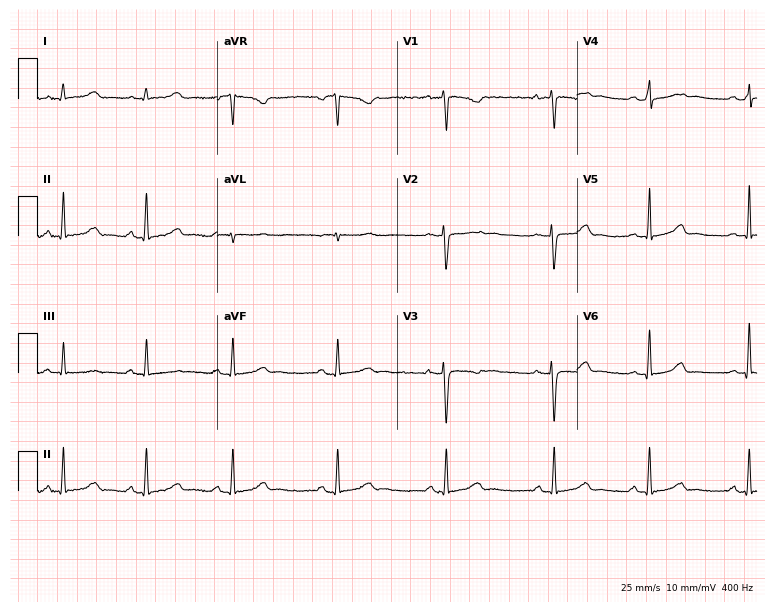
Standard 12-lead ECG recorded from a 26-year-old female patient (7.3-second recording at 400 Hz). None of these six findings is recorded: first-degree AV block, right bundle branch block, left bundle branch block, sinus bradycardia, atrial fibrillation, sinus tachycardia. Findings outside these six are not listed.